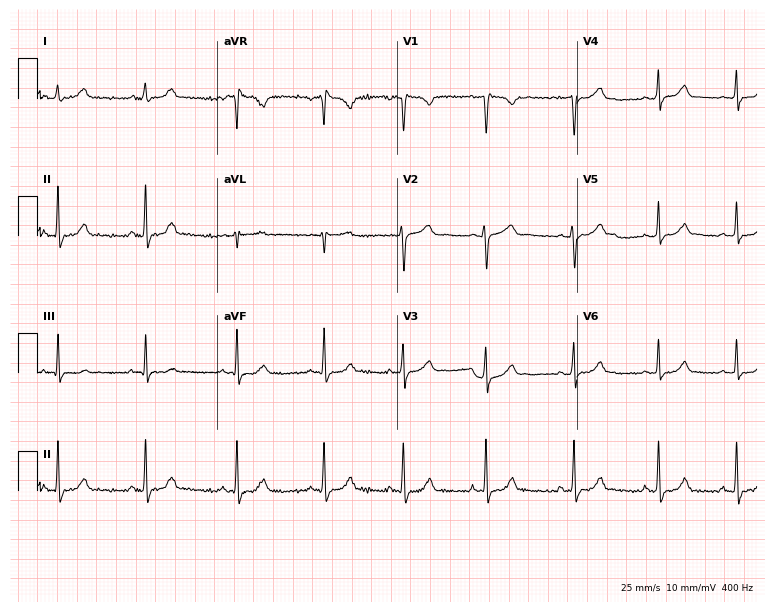
Electrocardiogram, a female, 24 years old. Overall reading on record: normal ECG.